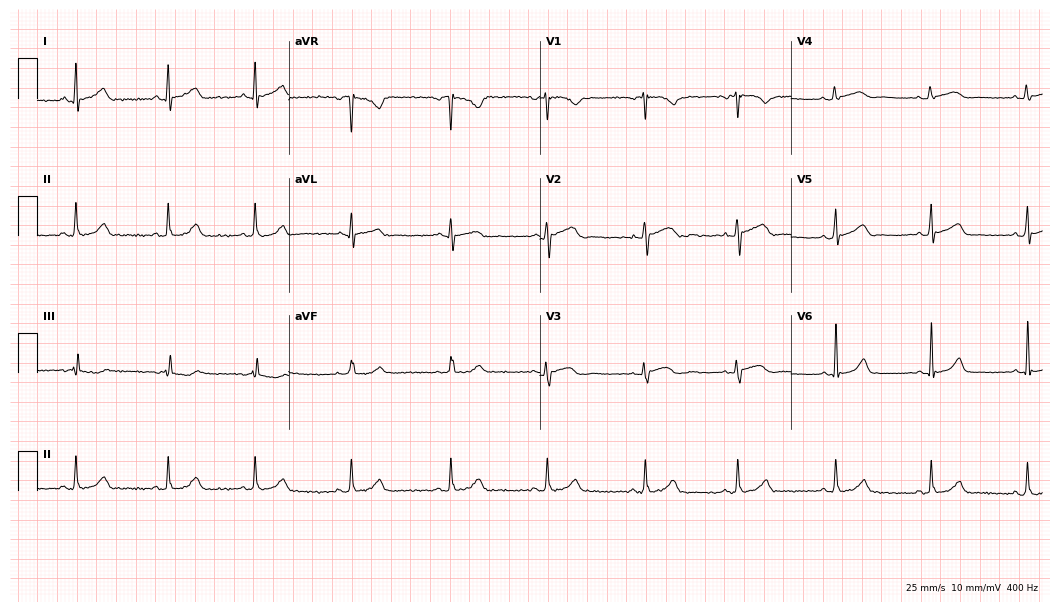
ECG — an 18-year-old female. Screened for six findings — first-degree AV block, right bundle branch block, left bundle branch block, sinus bradycardia, atrial fibrillation, sinus tachycardia — none is recorded. Only these six findings were labelled.